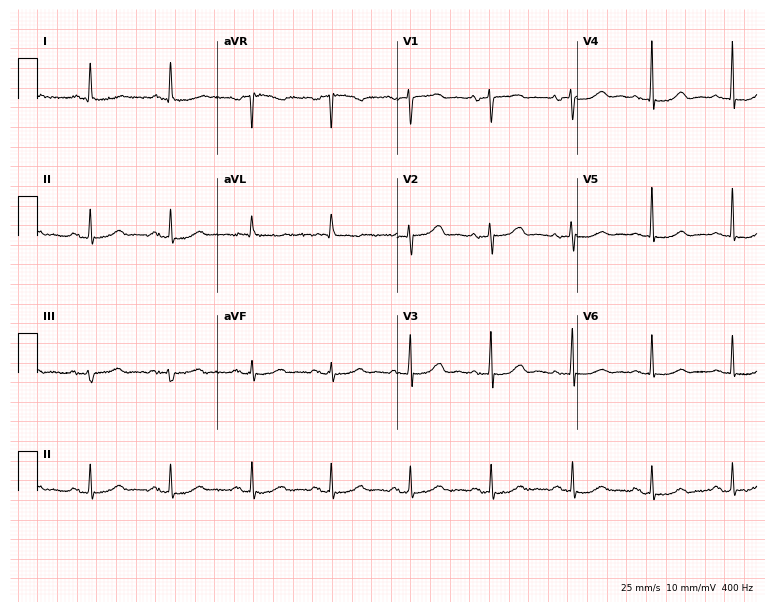
Electrocardiogram (7.3-second recording at 400 Hz), a woman, 77 years old. Of the six screened findings (first-degree AV block, right bundle branch block, left bundle branch block, sinus bradycardia, atrial fibrillation, sinus tachycardia), none is recorded. Other findings, if any, are not listed.